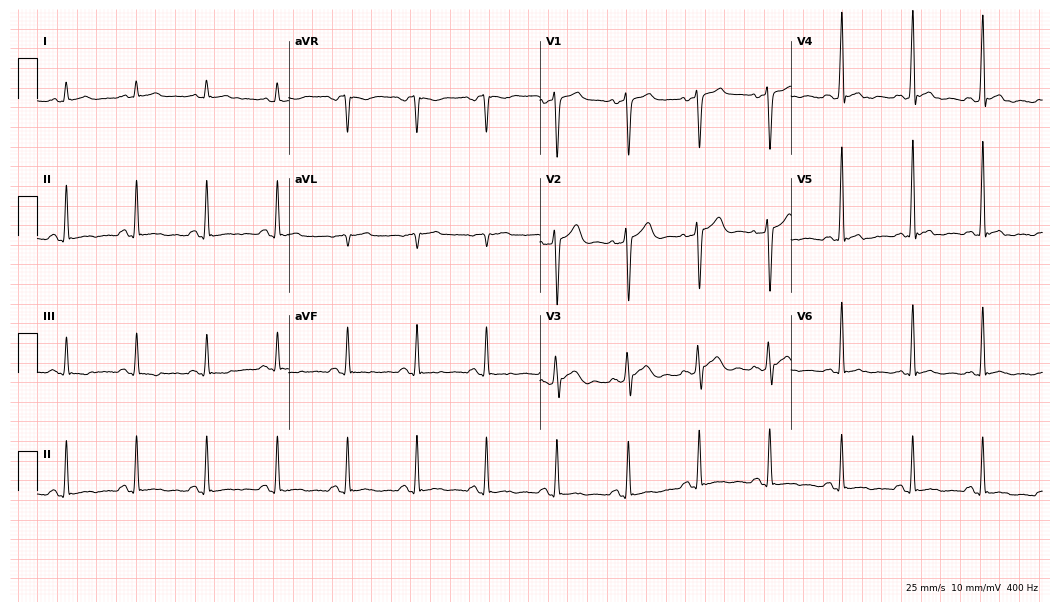
Electrocardiogram (10.2-second recording at 400 Hz), a 36-year-old male patient. Of the six screened findings (first-degree AV block, right bundle branch block (RBBB), left bundle branch block (LBBB), sinus bradycardia, atrial fibrillation (AF), sinus tachycardia), none is recorded. Only these six findings were labelled.